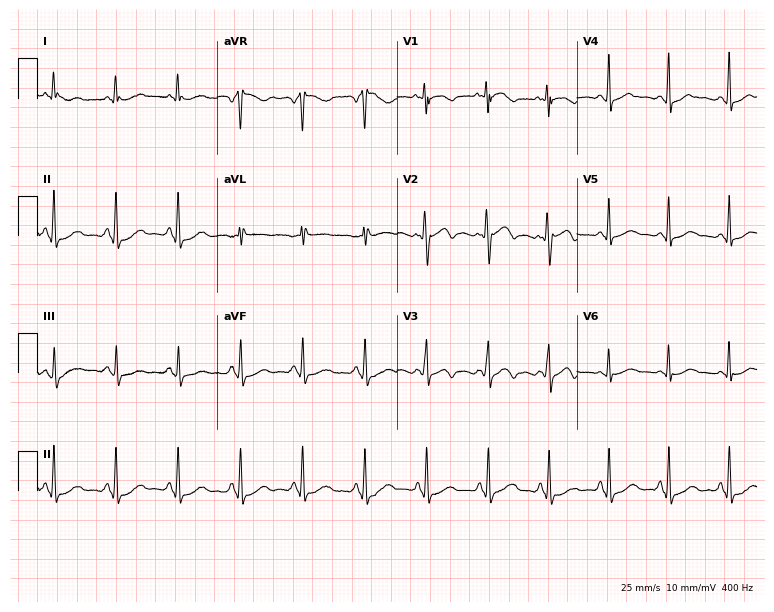
12-lead ECG from a woman, 34 years old (7.3-second recording at 400 Hz). No first-degree AV block, right bundle branch block, left bundle branch block, sinus bradycardia, atrial fibrillation or sinus tachycardia recorded for this tracing. Findings outside these six are not listed.